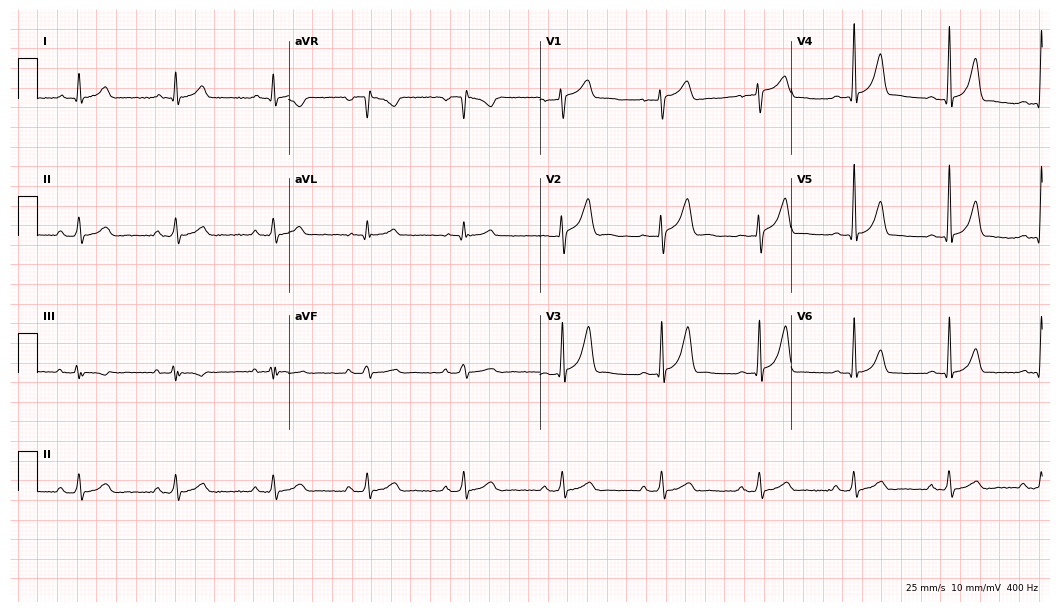
12-lead ECG from a male, 33 years old (10.2-second recording at 400 Hz). No first-degree AV block, right bundle branch block, left bundle branch block, sinus bradycardia, atrial fibrillation or sinus tachycardia recorded for this tracing.